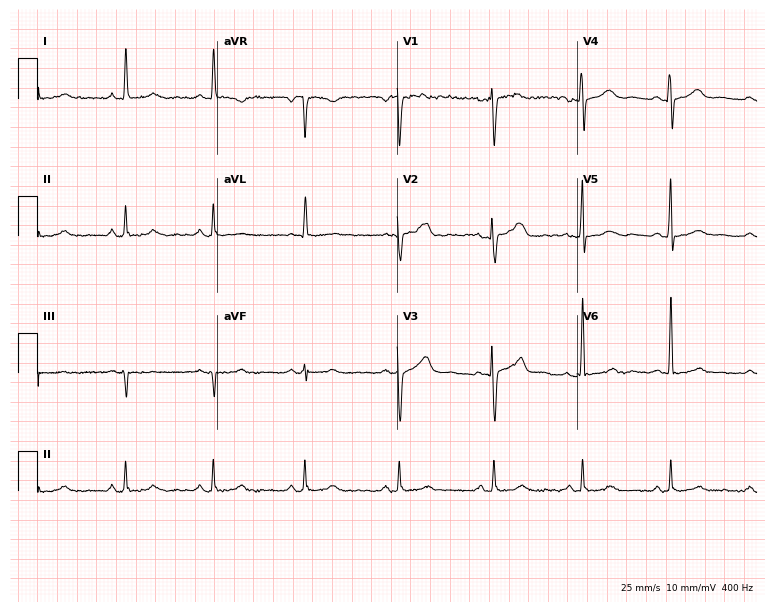
Standard 12-lead ECG recorded from a 47-year-old female patient. None of these six findings is recorded: first-degree AV block, right bundle branch block (RBBB), left bundle branch block (LBBB), sinus bradycardia, atrial fibrillation (AF), sinus tachycardia.